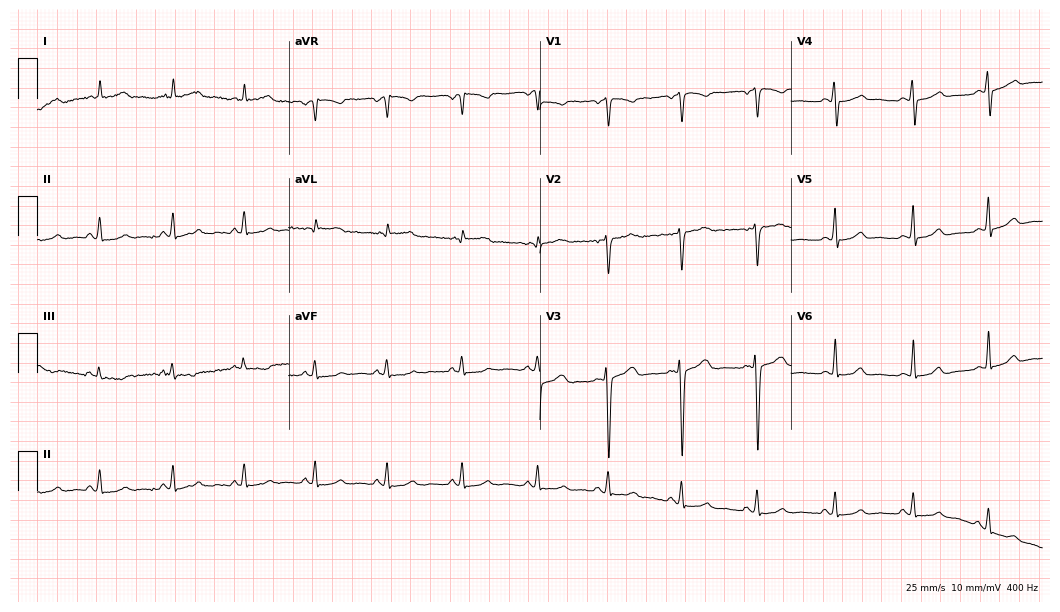
Electrocardiogram, a woman, 23 years old. Overall reading on record: normal ECG.